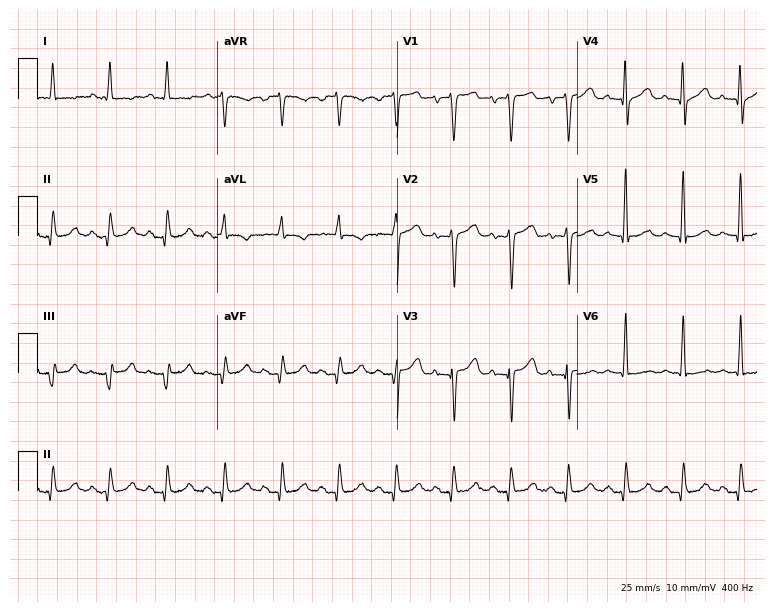
Resting 12-lead electrocardiogram. Patient: a male, 52 years old. The tracing shows sinus tachycardia (a sinus rate of 100 beats per minute or more).